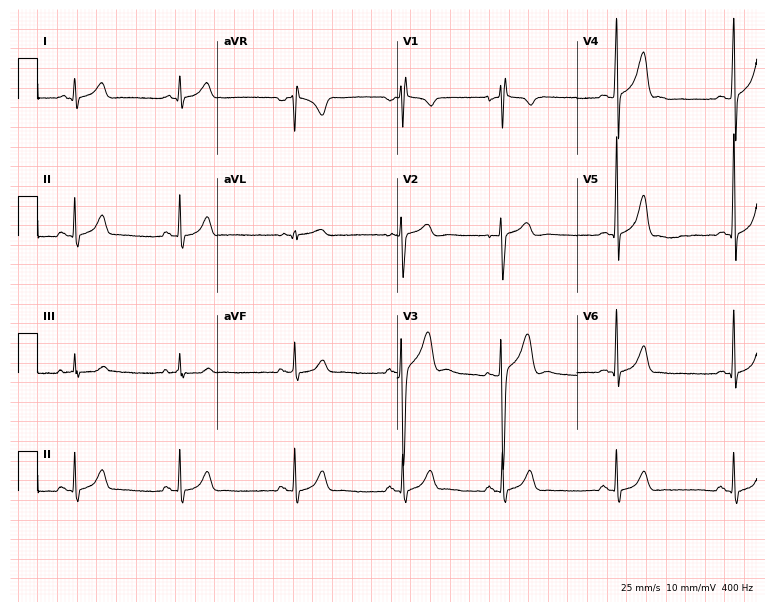
Resting 12-lead electrocardiogram (7.3-second recording at 400 Hz). Patient: a male, 17 years old. None of these six findings is recorded: first-degree AV block, right bundle branch block, left bundle branch block, sinus bradycardia, atrial fibrillation, sinus tachycardia. Only these six findings were labelled.